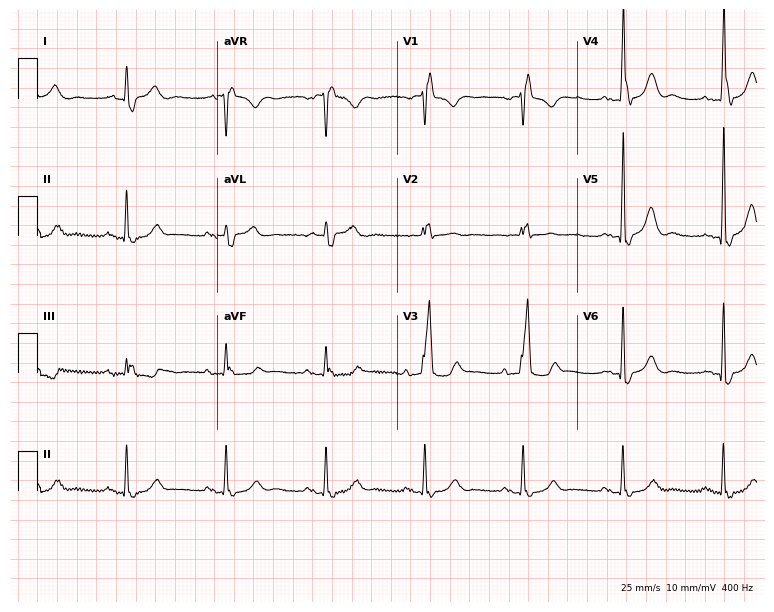
Standard 12-lead ECG recorded from a male patient, 81 years old. The tracing shows right bundle branch block.